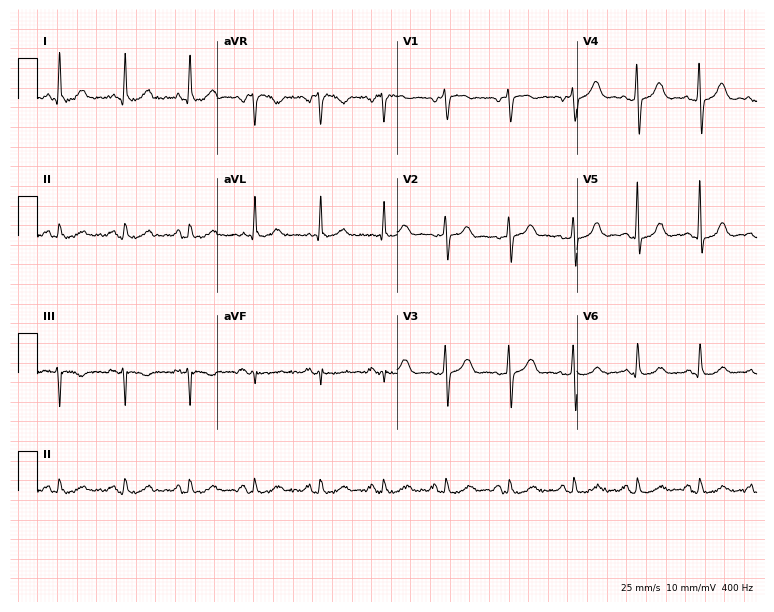
Standard 12-lead ECG recorded from a 65-year-old woman. Read as a normal ECG.